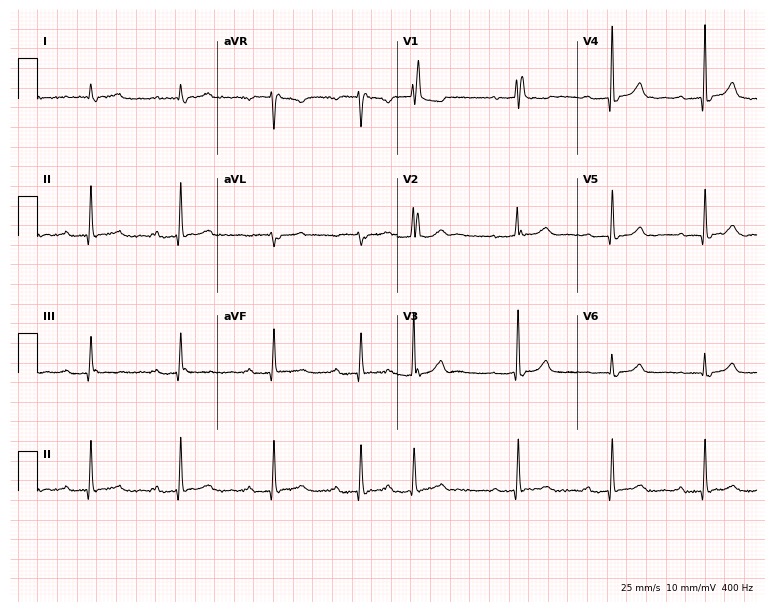
12-lead ECG (7.3-second recording at 400 Hz) from a female patient, 80 years old. Findings include first-degree AV block, right bundle branch block (RBBB).